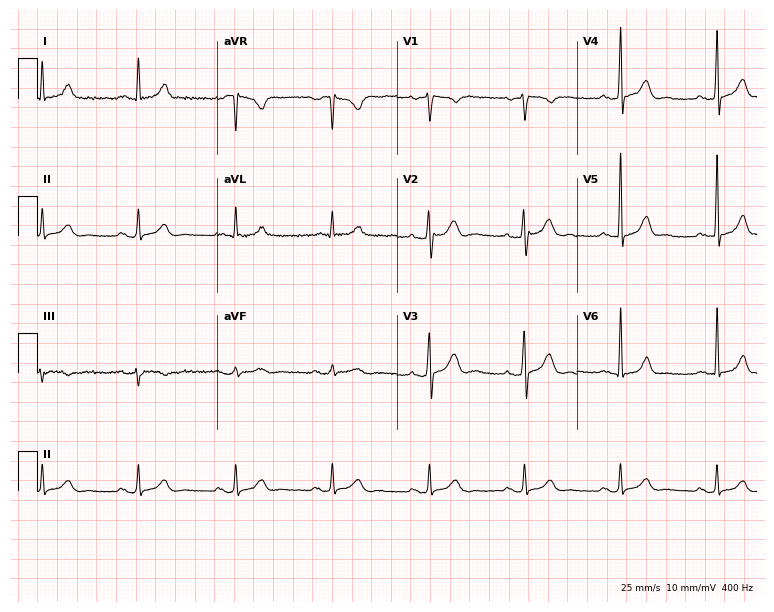
Standard 12-lead ECG recorded from a male patient, 44 years old (7.3-second recording at 400 Hz). Read as a normal ECG.